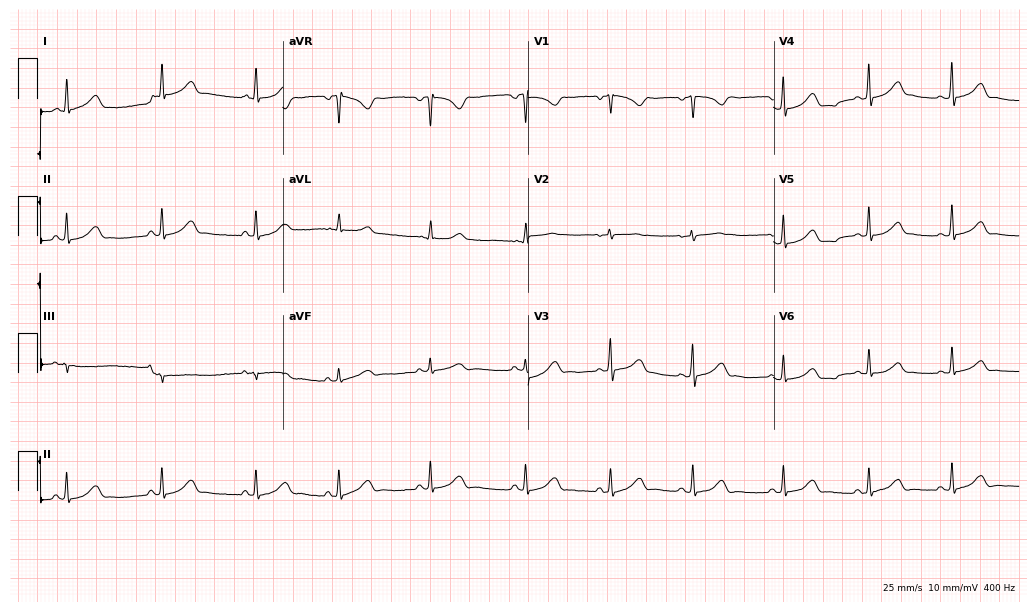
ECG (10-second recording at 400 Hz) — a female, 29 years old. Labelled as a normal ECG.